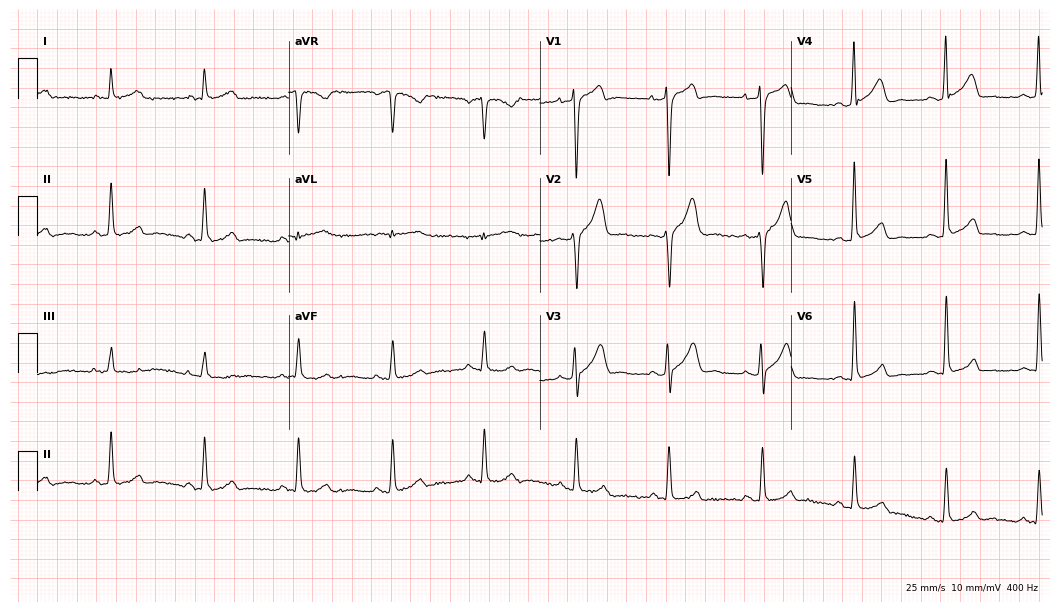
Electrocardiogram, a 43-year-old man. Overall reading on record: normal ECG.